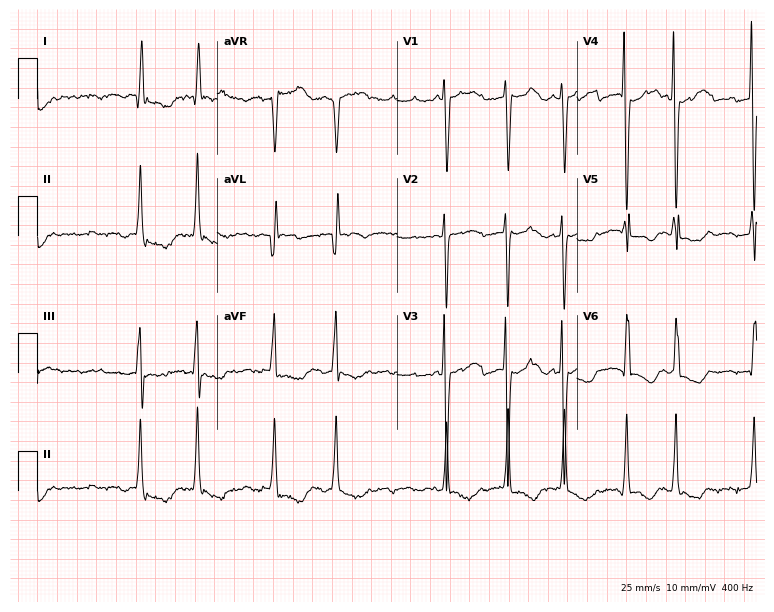
Resting 12-lead electrocardiogram (7.3-second recording at 400 Hz). Patient: a 78-year-old woman. The tracing shows atrial fibrillation.